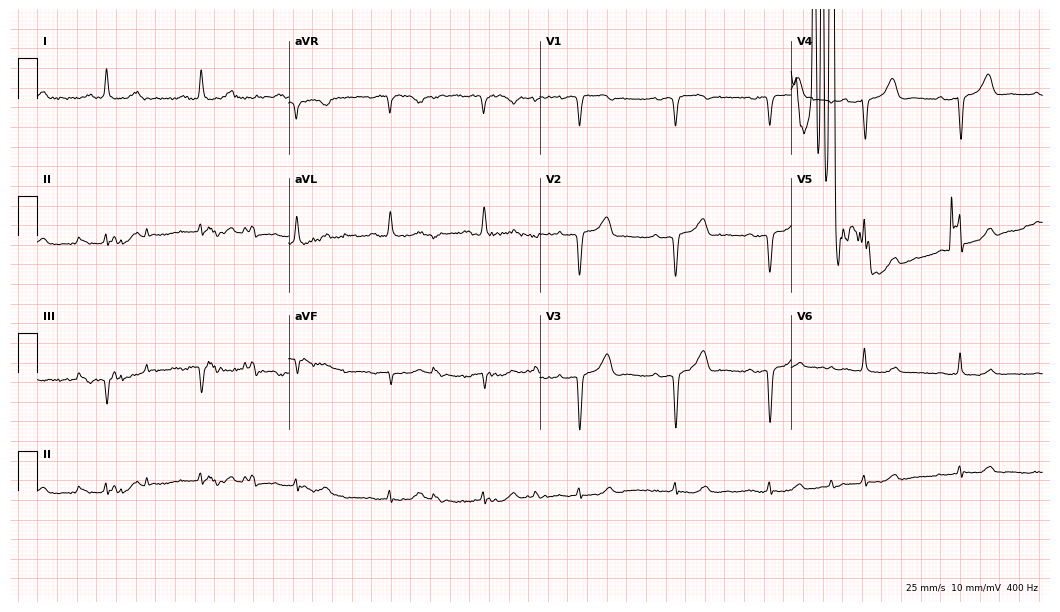
12-lead ECG from a female, 80 years old. No first-degree AV block, right bundle branch block, left bundle branch block, sinus bradycardia, atrial fibrillation or sinus tachycardia recorded for this tracing.